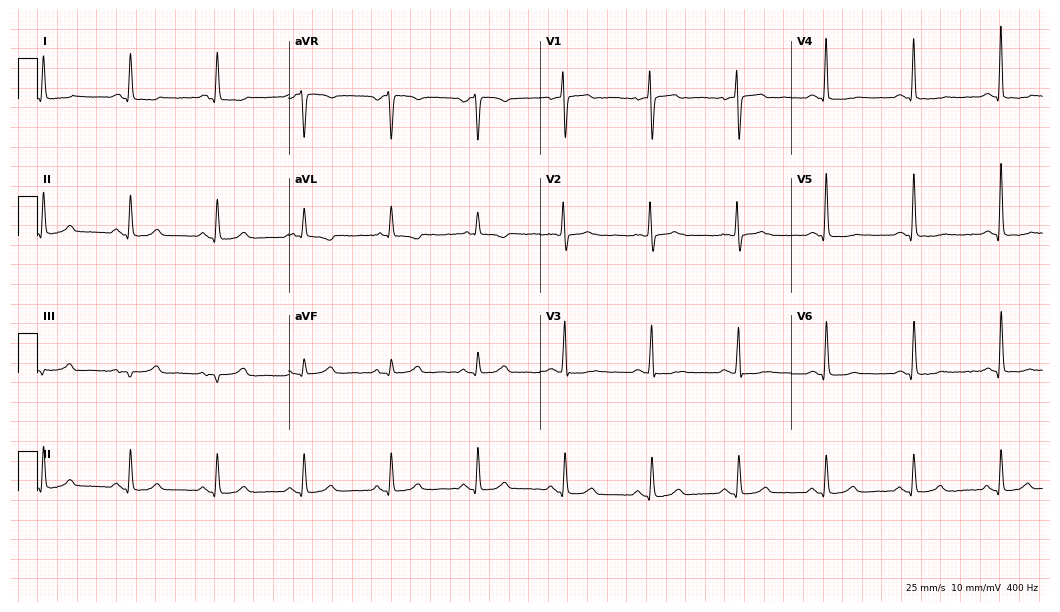
Resting 12-lead electrocardiogram (10.2-second recording at 400 Hz). Patient: a 60-year-old woman. Read as a normal ECG.